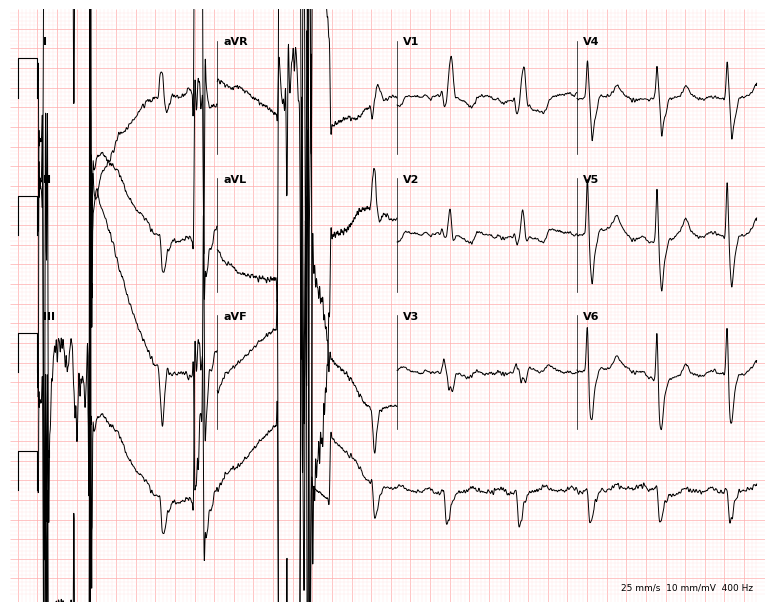
ECG — a man, 74 years old. Screened for six findings — first-degree AV block, right bundle branch block, left bundle branch block, sinus bradycardia, atrial fibrillation, sinus tachycardia — none is recorded. Findings outside these six are not listed.